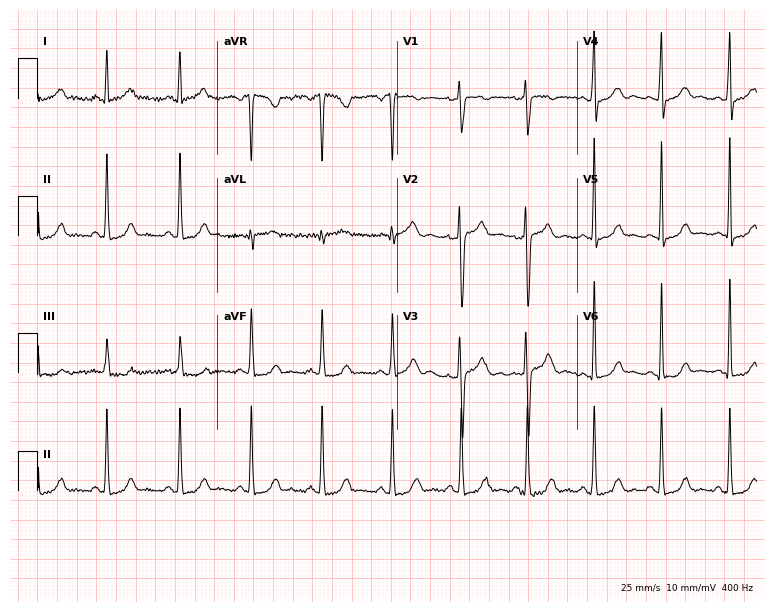
12-lead ECG from a 32-year-old female patient (7.3-second recording at 400 Hz). Recorded interpretation: within normal limits.